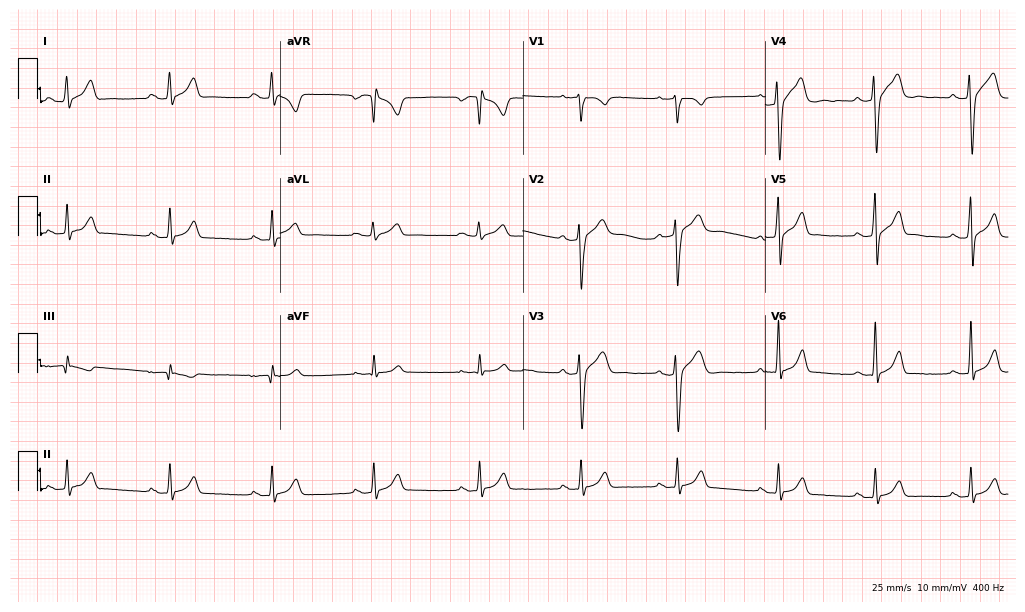
Standard 12-lead ECG recorded from a 29-year-old male patient (9.9-second recording at 400 Hz). Read as a normal ECG.